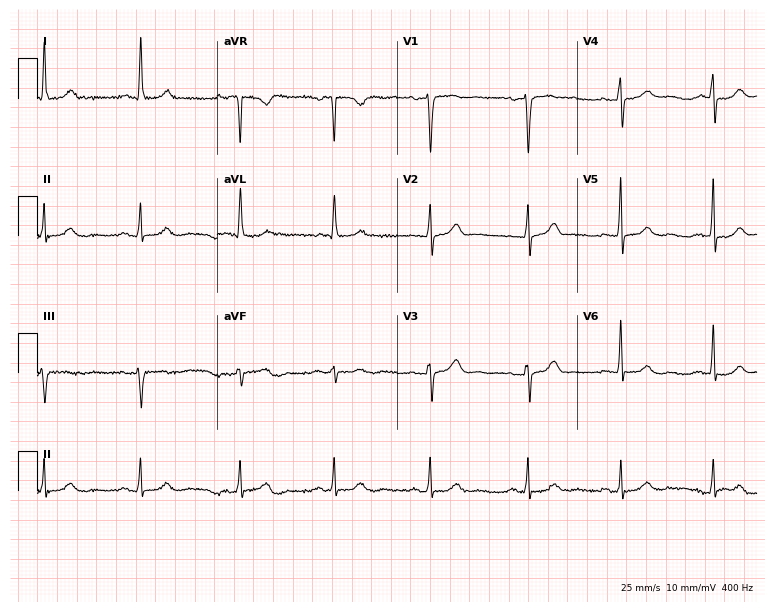
Standard 12-lead ECG recorded from a 62-year-old woman. None of these six findings is recorded: first-degree AV block, right bundle branch block (RBBB), left bundle branch block (LBBB), sinus bradycardia, atrial fibrillation (AF), sinus tachycardia. Other findings, if any, are not listed.